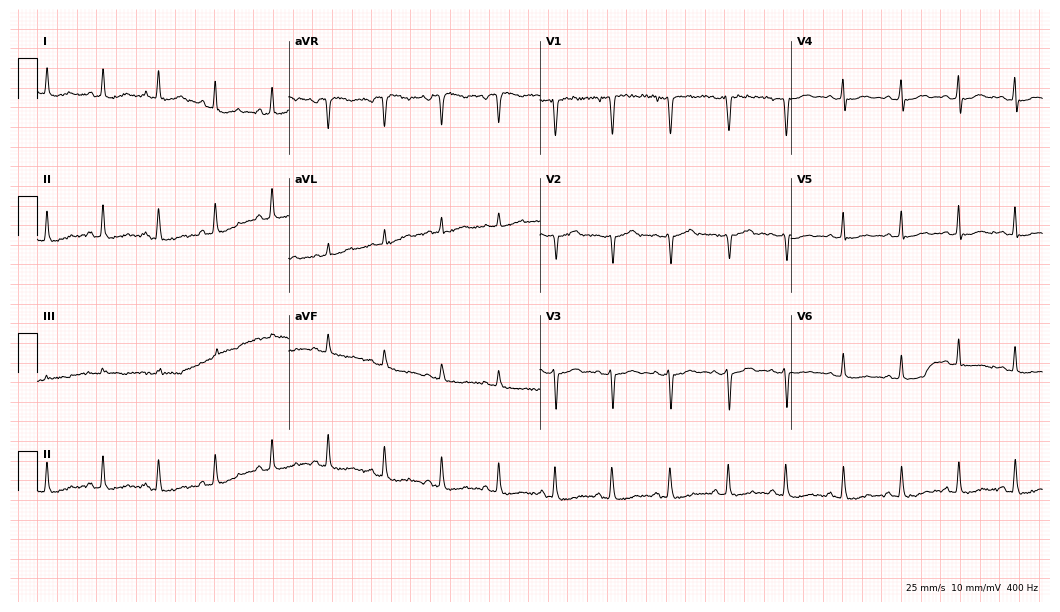
ECG — a female patient, 42 years old. Screened for six findings — first-degree AV block, right bundle branch block (RBBB), left bundle branch block (LBBB), sinus bradycardia, atrial fibrillation (AF), sinus tachycardia — none is recorded.